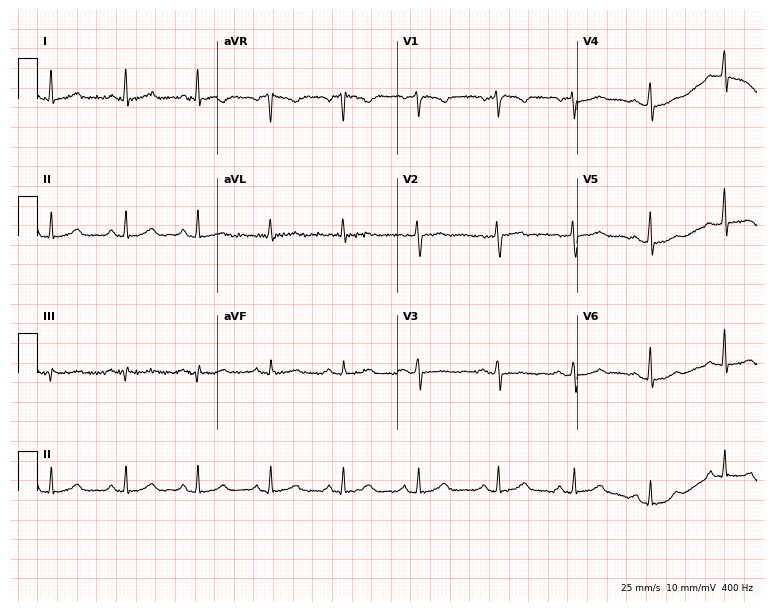
12-lead ECG from a female, 56 years old (7.3-second recording at 400 Hz). No first-degree AV block, right bundle branch block, left bundle branch block, sinus bradycardia, atrial fibrillation or sinus tachycardia recorded for this tracing. Only these six findings were labelled.